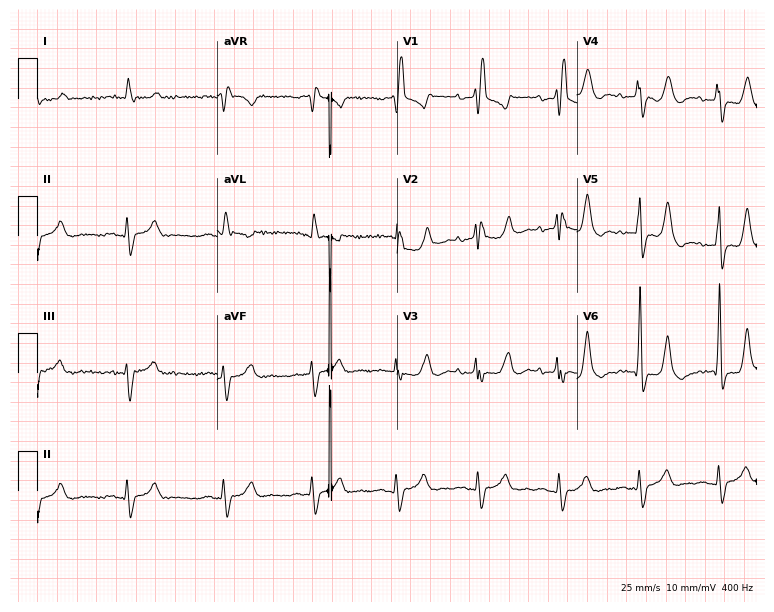
Electrocardiogram, a man, 84 years old. Interpretation includes right bundle branch block.